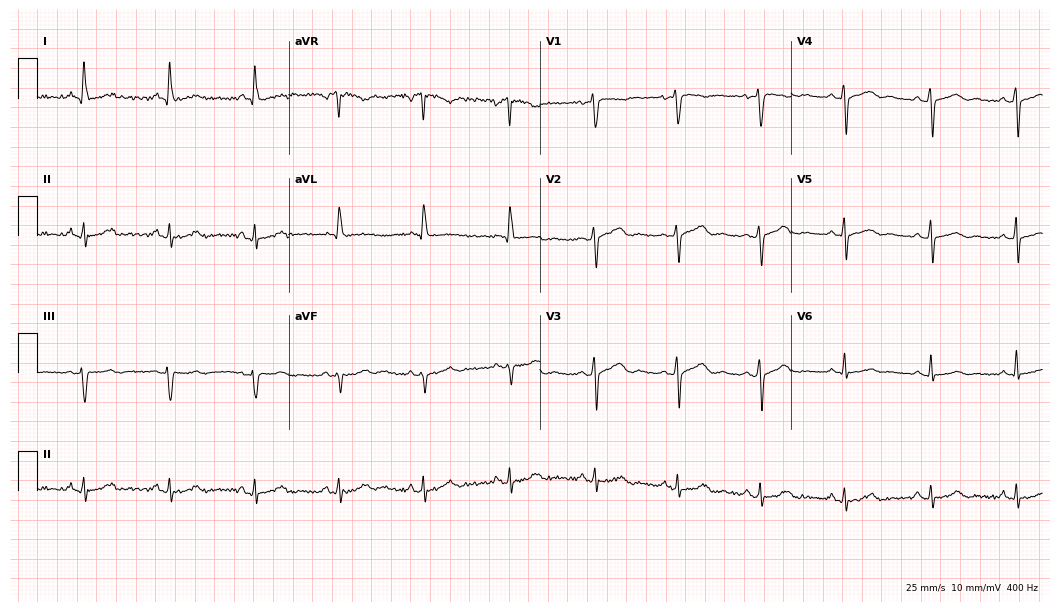
Standard 12-lead ECG recorded from a female patient, 51 years old. Read as a normal ECG.